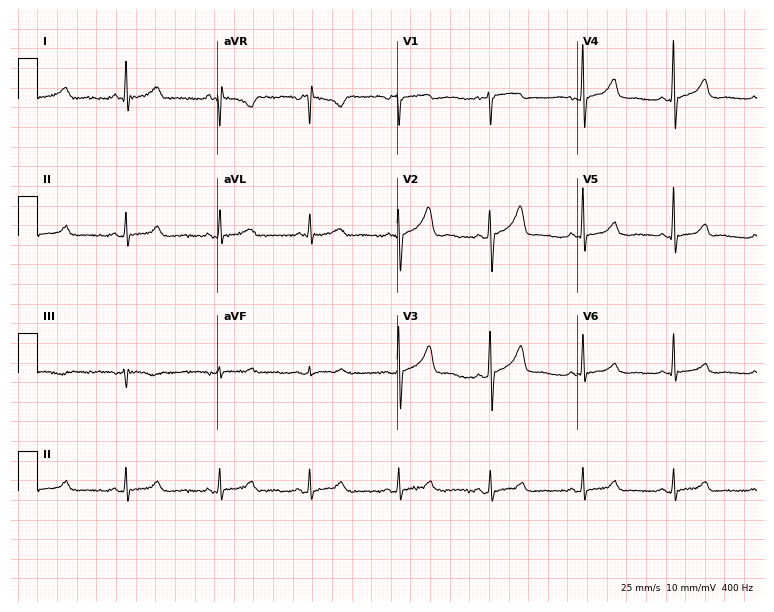
ECG (7.3-second recording at 400 Hz) — a female patient, 39 years old. Screened for six findings — first-degree AV block, right bundle branch block, left bundle branch block, sinus bradycardia, atrial fibrillation, sinus tachycardia — none is recorded.